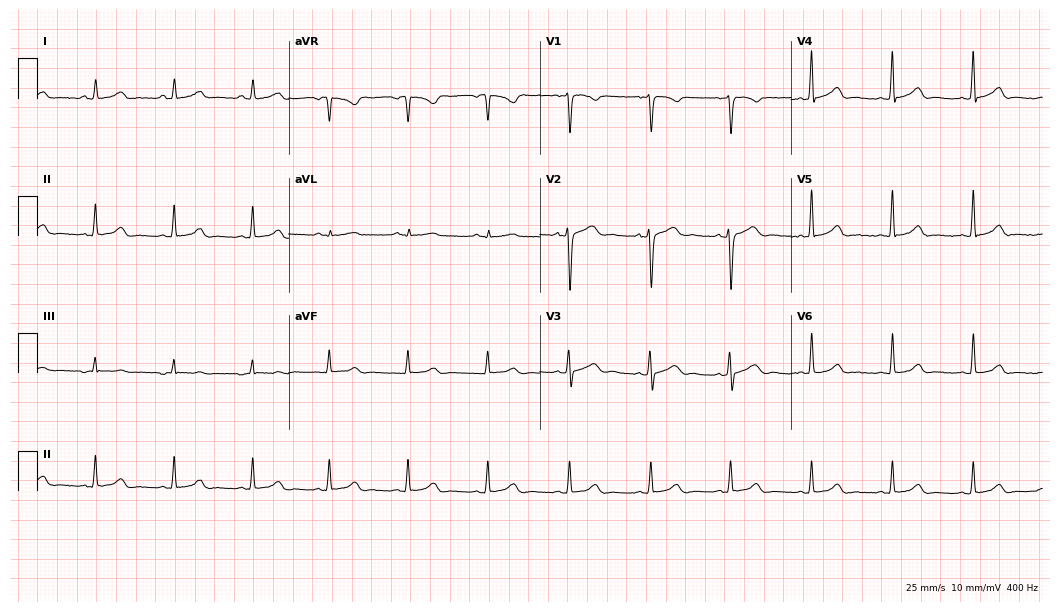
12-lead ECG from a 39-year-old female patient. Recorded interpretation: within normal limits.